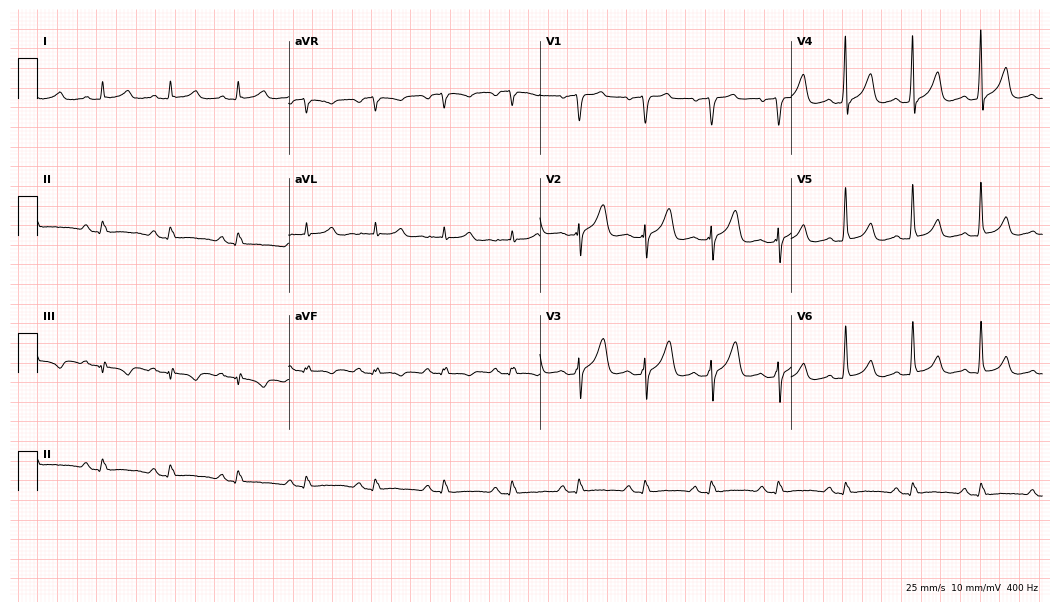
Electrocardiogram, a 73-year-old male patient. Overall reading on record: normal ECG.